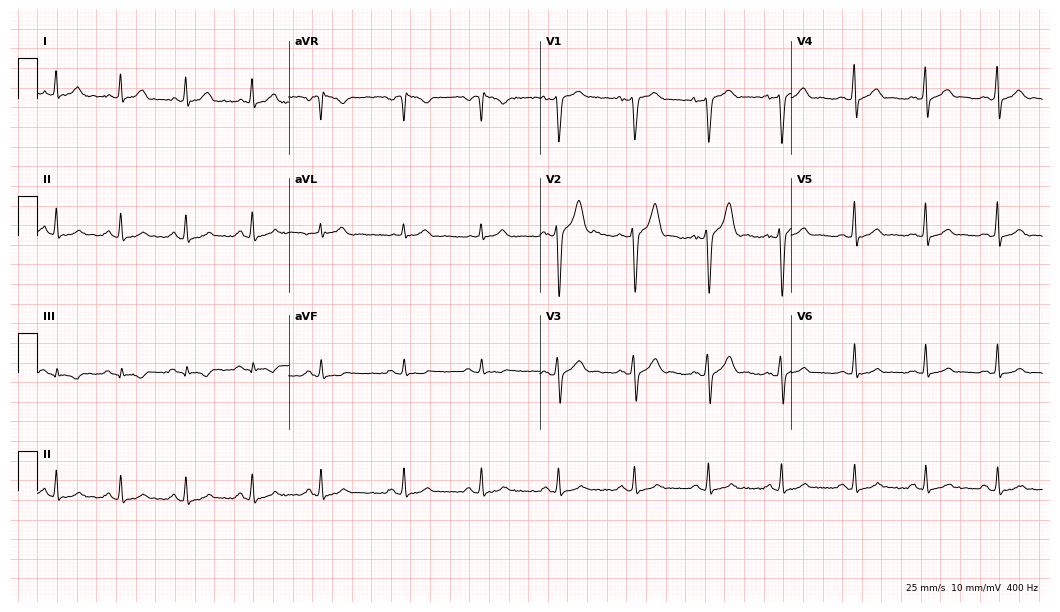
12-lead ECG from a 33-year-old male. Screened for six findings — first-degree AV block, right bundle branch block, left bundle branch block, sinus bradycardia, atrial fibrillation, sinus tachycardia — none is recorded. Other findings, if any, are not listed.